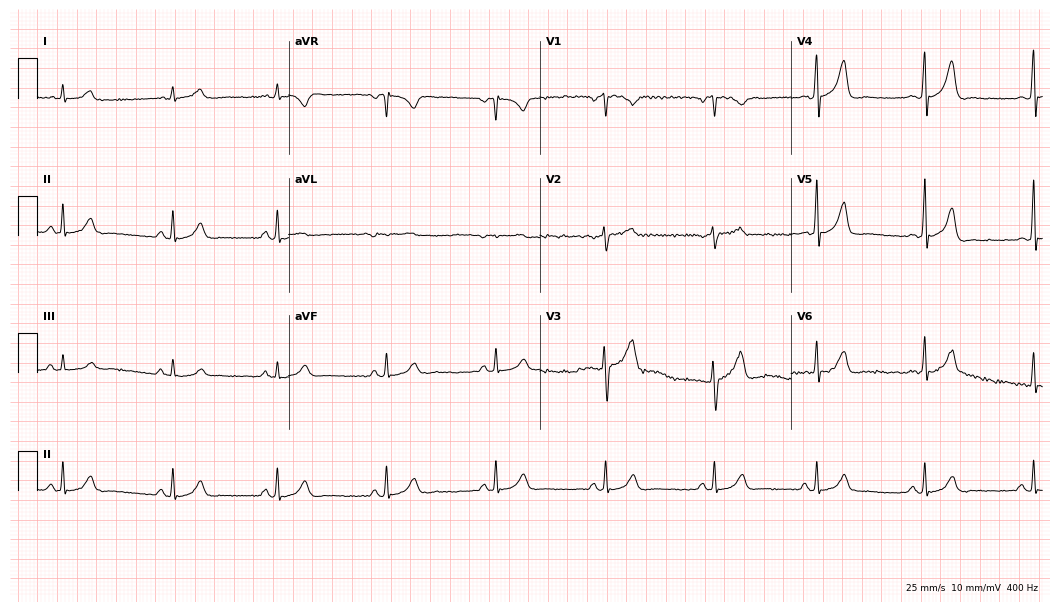
12-lead ECG from a man, 44 years old. Labelled as a normal ECG.